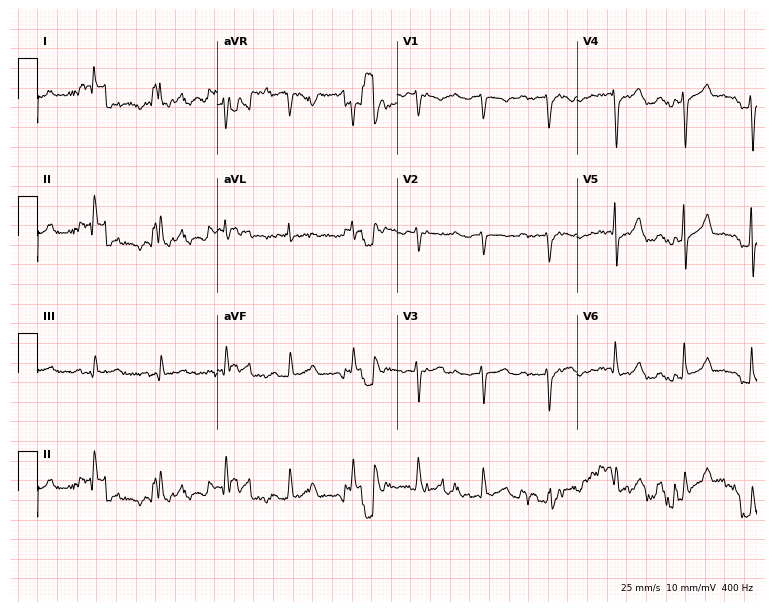
ECG (7.3-second recording at 400 Hz) — a female, 71 years old. Screened for six findings — first-degree AV block, right bundle branch block (RBBB), left bundle branch block (LBBB), sinus bradycardia, atrial fibrillation (AF), sinus tachycardia — none is recorded.